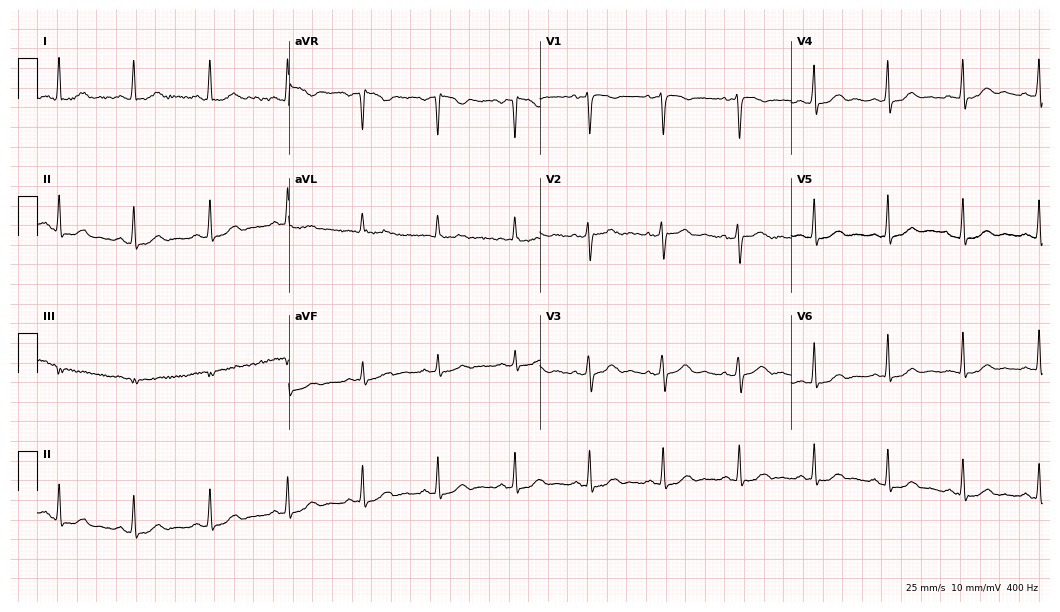
ECG (10.2-second recording at 400 Hz) — a woman, 44 years old. Labelled as a normal ECG.